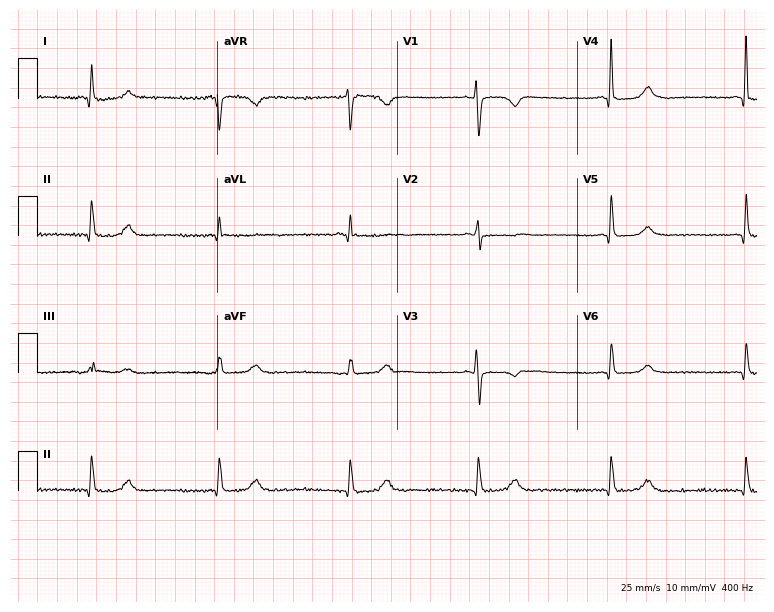
Electrocardiogram, an 80-year-old female. Interpretation includes sinus bradycardia (a sinus rate of 50 beats per minute or less).